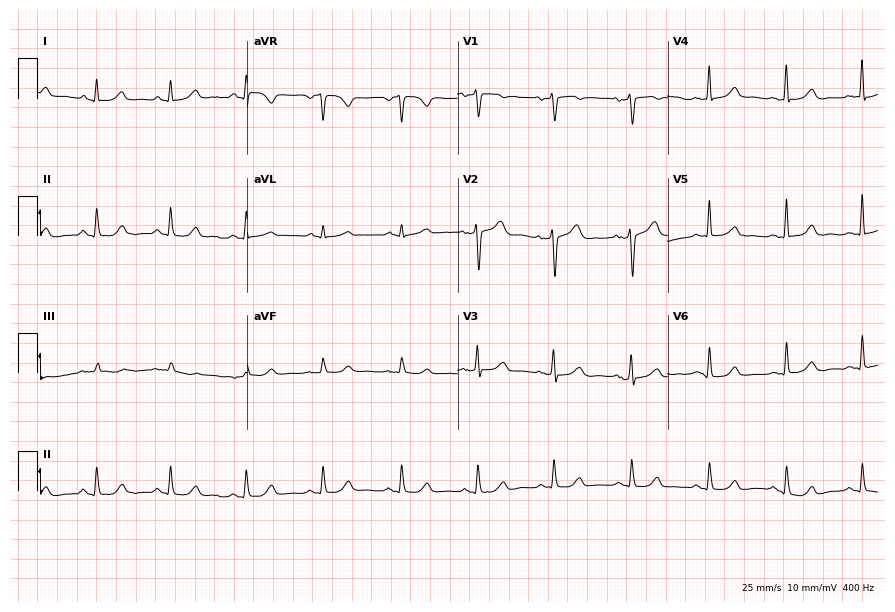
ECG — a 51-year-old female. Labelled as a normal ECG.